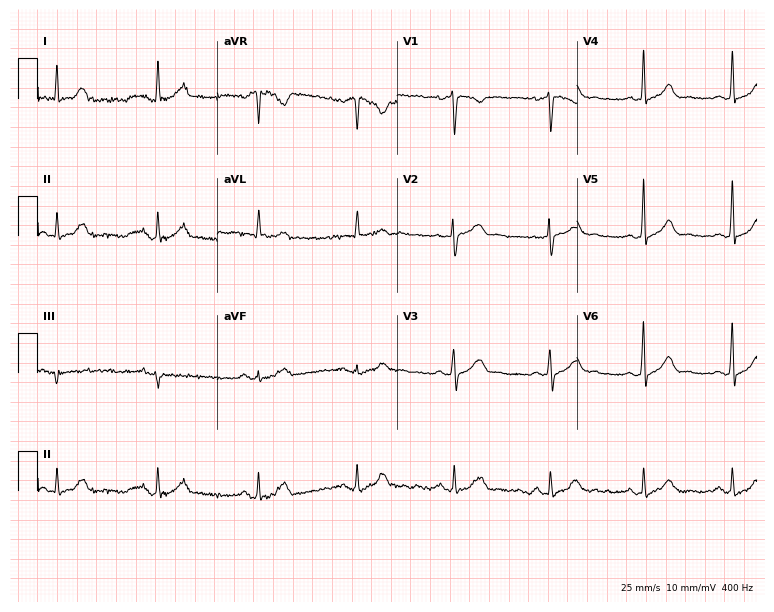
12-lead ECG (7.3-second recording at 400 Hz) from a 44-year-old man. Labelled as a normal ECG.